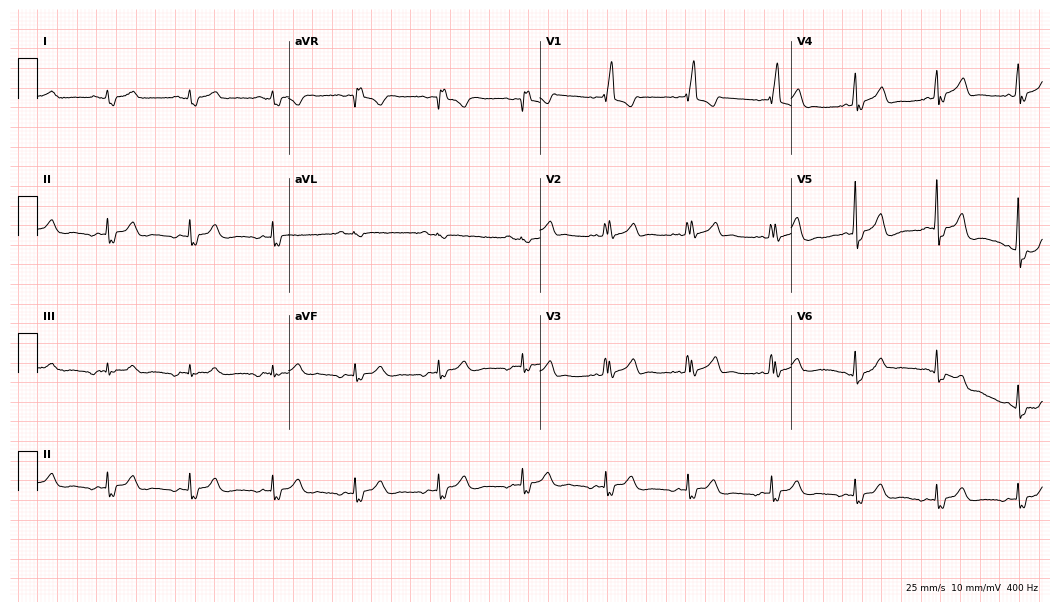
Resting 12-lead electrocardiogram (10.2-second recording at 400 Hz). Patient: a female, 65 years old. The tracing shows right bundle branch block (RBBB).